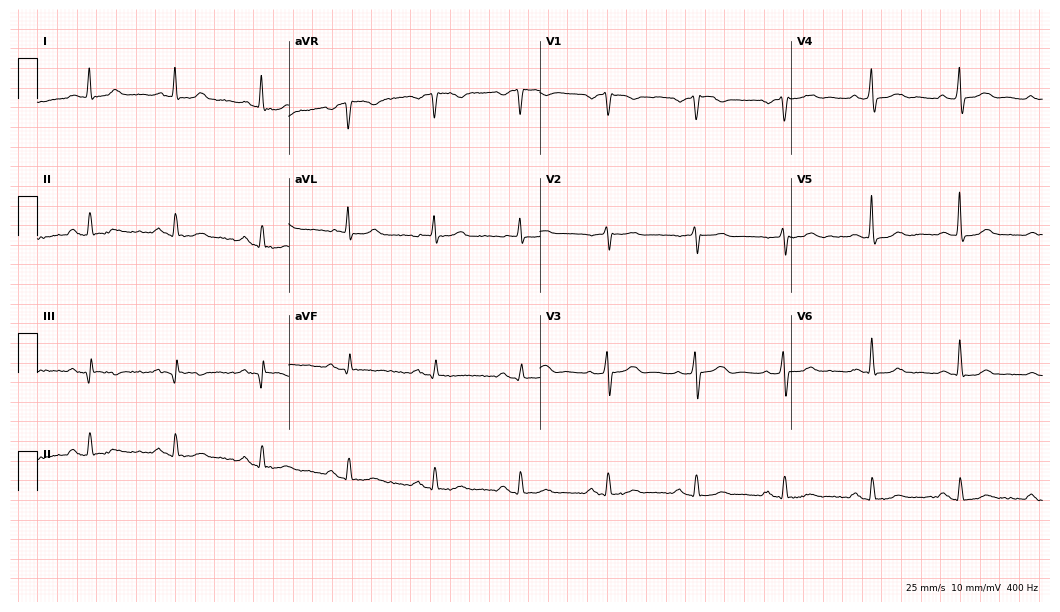
Standard 12-lead ECG recorded from a 64-year-old man. None of these six findings is recorded: first-degree AV block, right bundle branch block, left bundle branch block, sinus bradycardia, atrial fibrillation, sinus tachycardia.